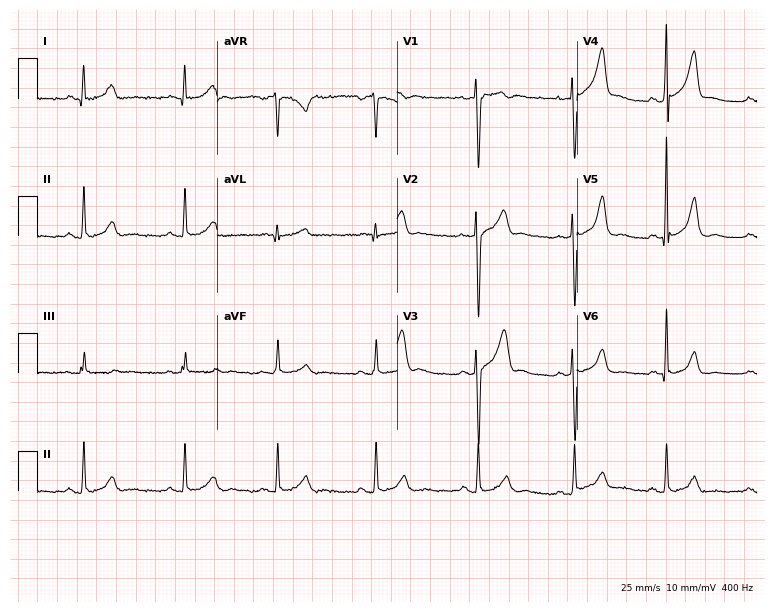
Standard 12-lead ECG recorded from a 24-year-old male patient (7.3-second recording at 400 Hz). Read as a normal ECG.